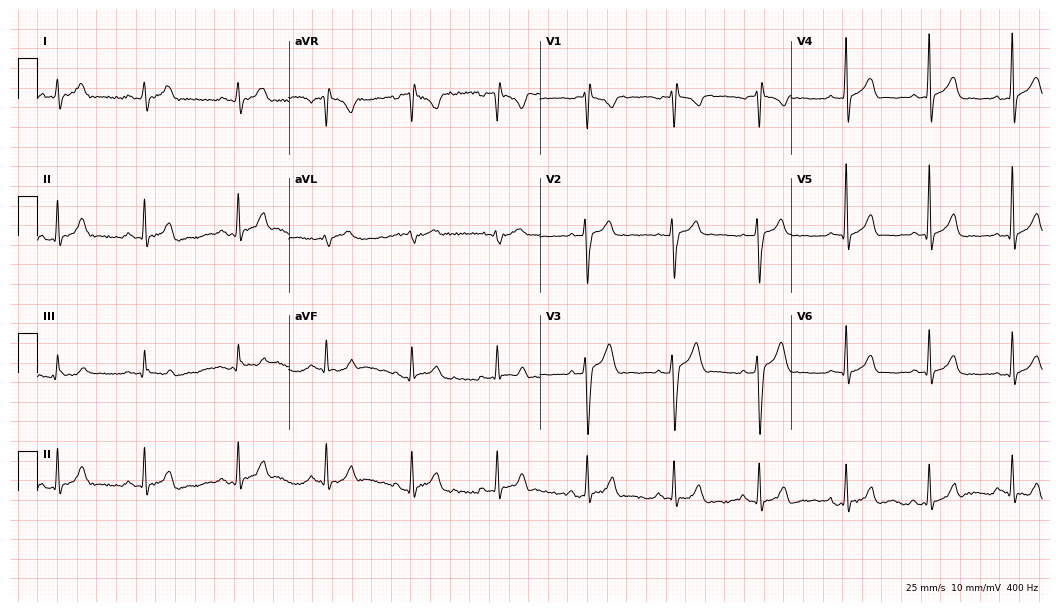
Standard 12-lead ECG recorded from a 20-year-old male patient. Read as a normal ECG.